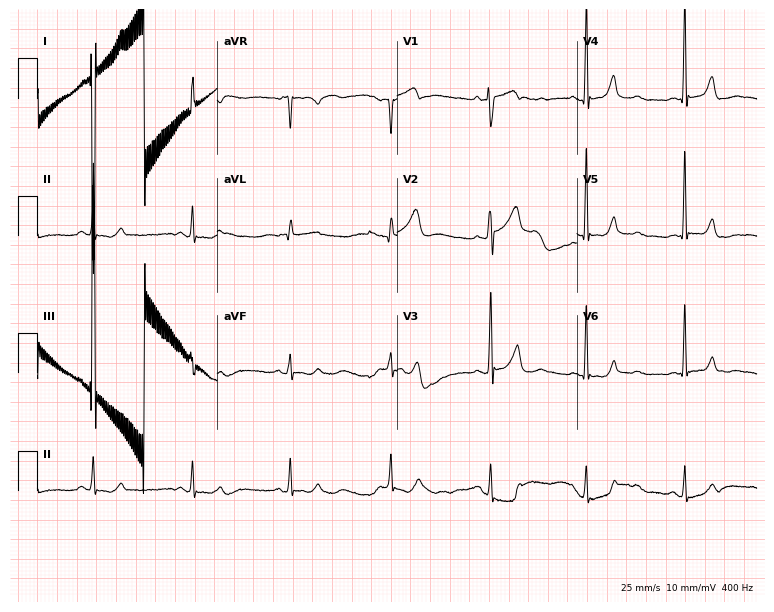
Resting 12-lead electrocardiogram (7.3-second recording at 400 Hz). Patient: a man, 65 years old. Read as a normal ECG.